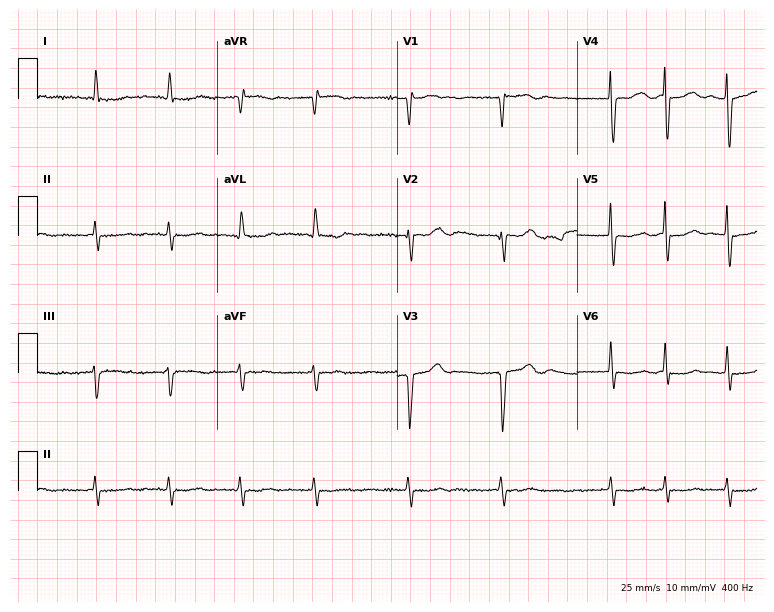
ECG (7.3-second recording at 400 Hz) — a female, 83 years old. Findings include atrial fibrillation (AF).